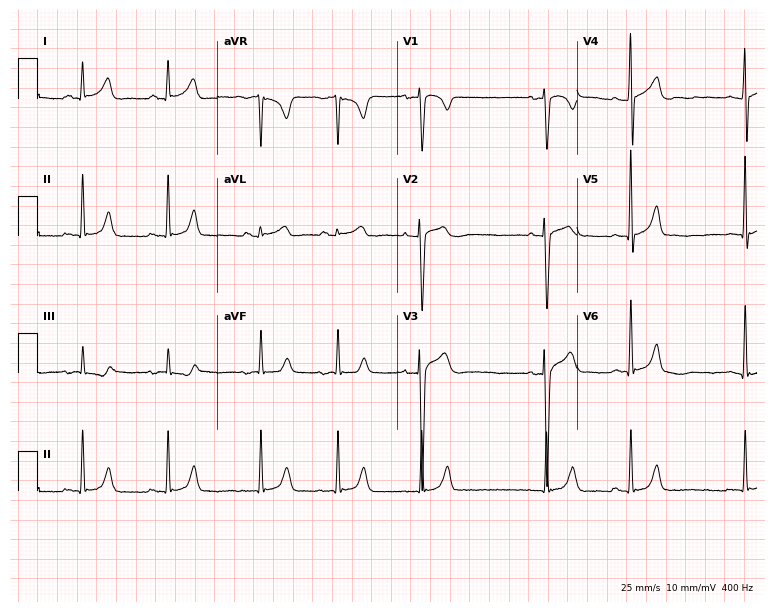
Electrocardiogram, a 17-year-old male. Of the six screened findings (first-degree AV block, right bundle branch block, left bundle branch block, sinus bradycardia, atrial fibrillation, sinus tachycardia), none is recorded.